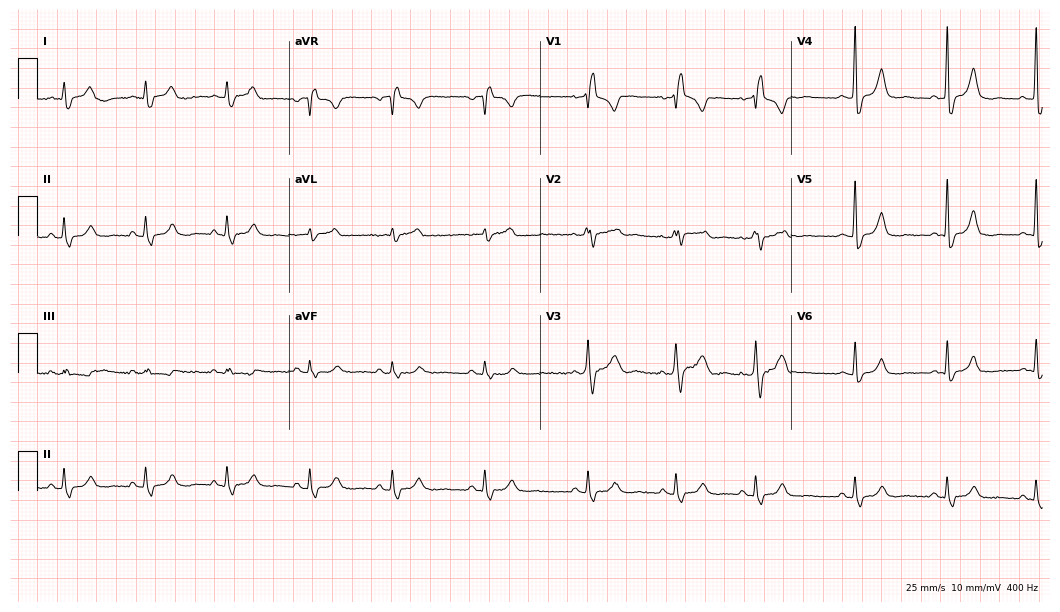
Electrocardiogram (10.2-second recording at 400 Hz), a 60-year-old man. Interpretation includes right bundle branch block.